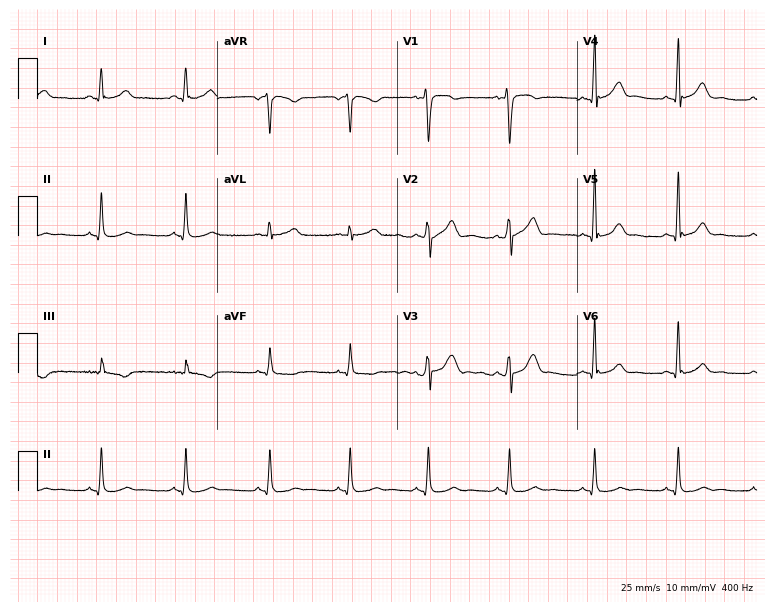
ECG — a male patient, 37 years old. Labelled as a normal ECG.